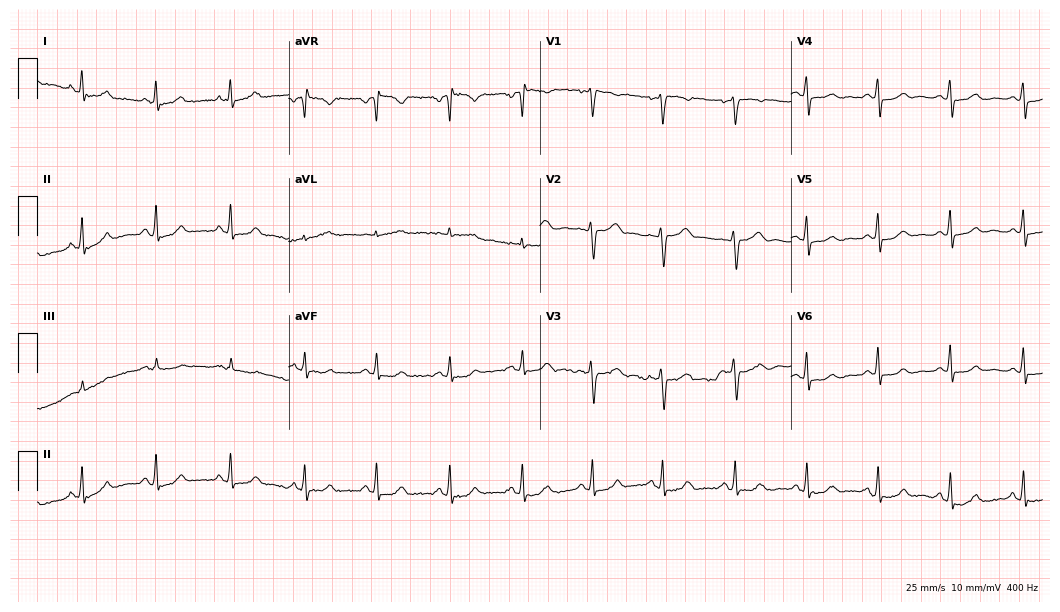
Standard 12-lead ECG recorded from a 50-year-old female (10.2-second recording at 400 Hz). Read as a normal ECG.